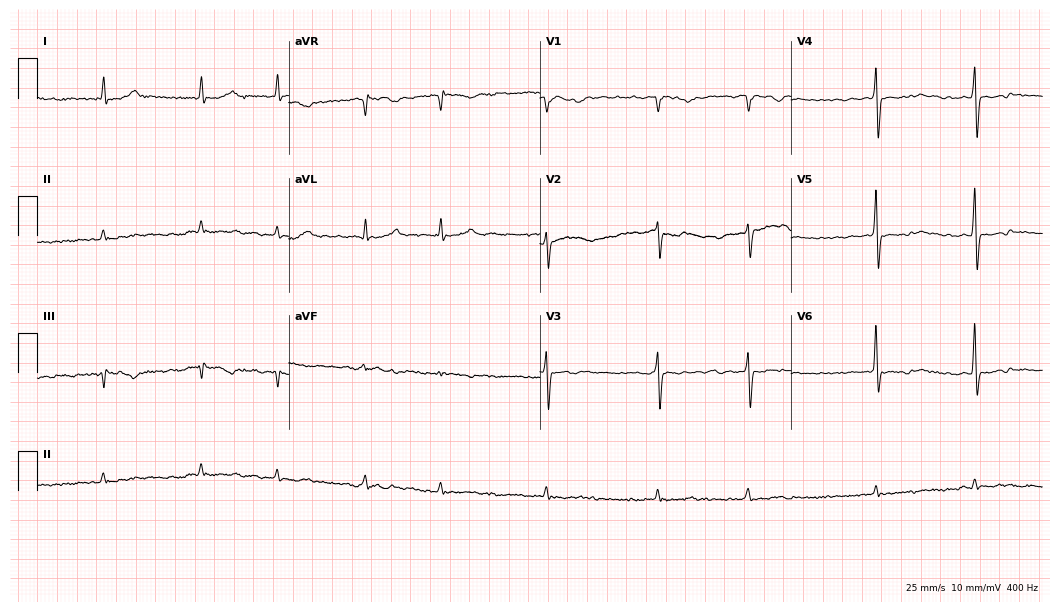
ECG (10.2-second recording at 400 Hz) — a male patient, 83 years old. Findings include atrial fibrillation.